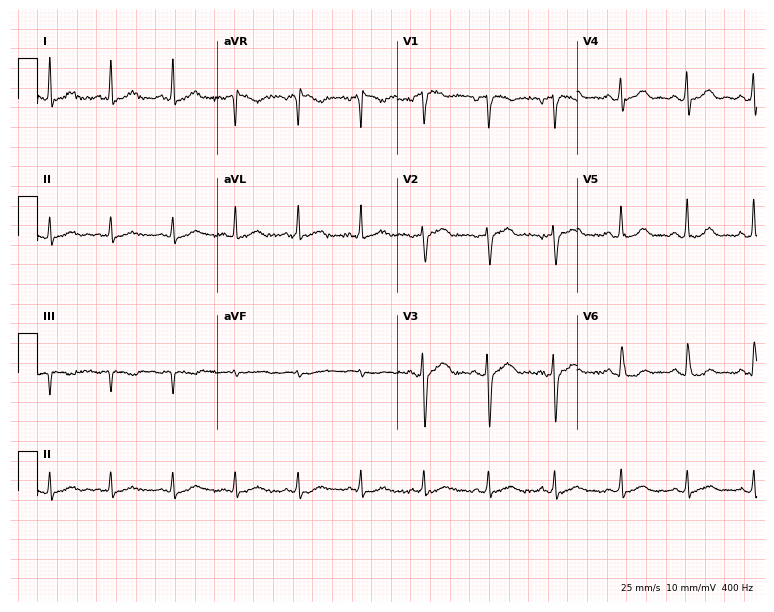
Standard 12-lead ECG recorded from a 46-year-old female. Read as a normal ECG.